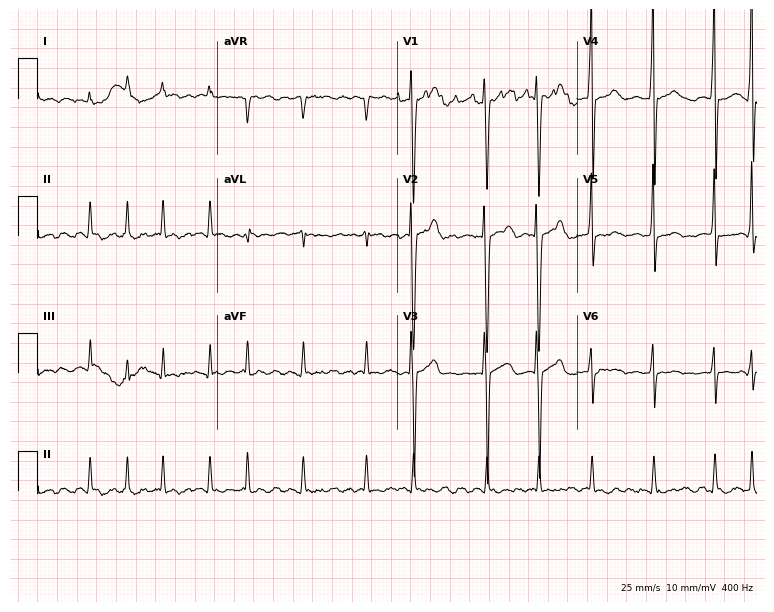
12-lead ECG from a male patient, 35 years old (7.3-second recording at 400 Hz). Shows atrial fibrillation.